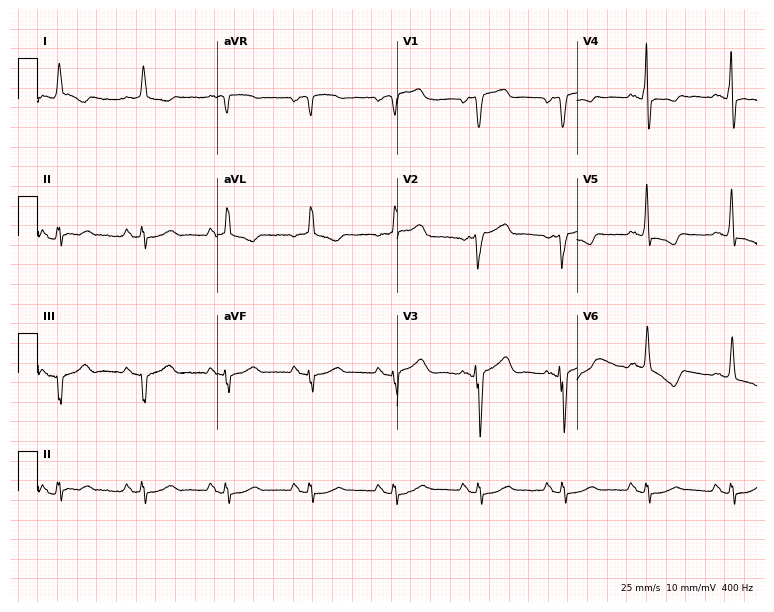
12-lead ECG from a 75-year-old male (7.3-second recording at 400 Hz). No first-degree AV block, right bundle branch block, left bundle branch block, sinus bradycardia, atrial fibrillation or sinus tachycardia recorded for this tracing. Findings outside these six are not listed.